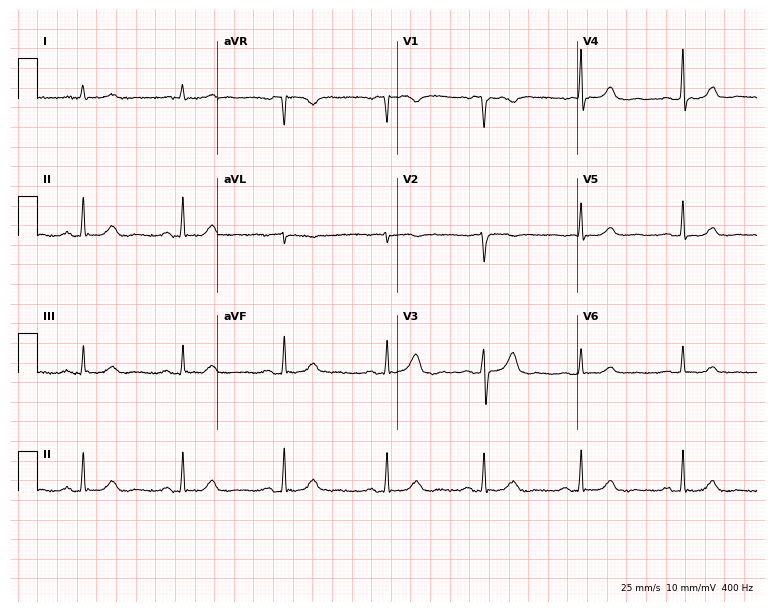
12-lead ECG (7.3-second recording at 400 Hz) from a 58-year-old woman. Screened for six findings — first-degree AV block, right bundle branch block, left bundle branch block, sinus bradycardia, atrial fibrillation, sinus tachycardia — none is recorded.